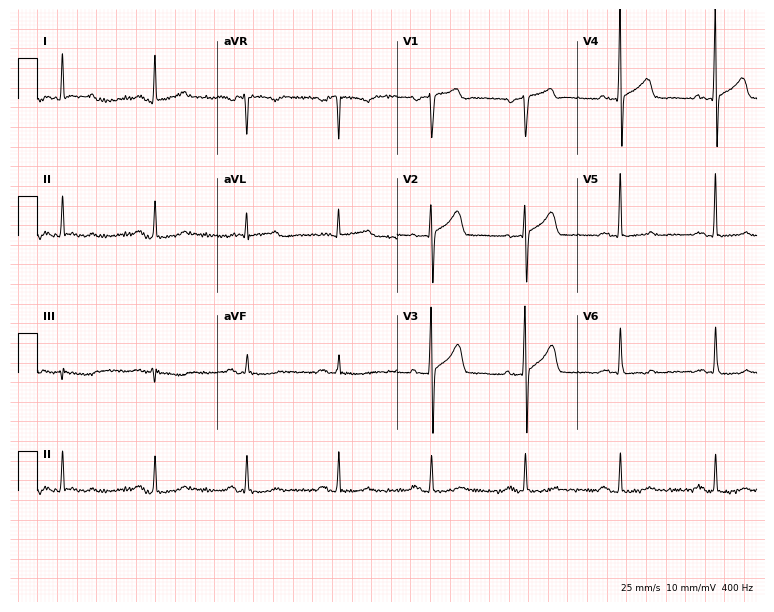
12-lead ECG from a man, 57 years old. No first-degree AV block, right bundle branch block, left bundle branch block, sinus bradycardia, atrial fibrillation or sinus tachycardia recorded for this tracing.